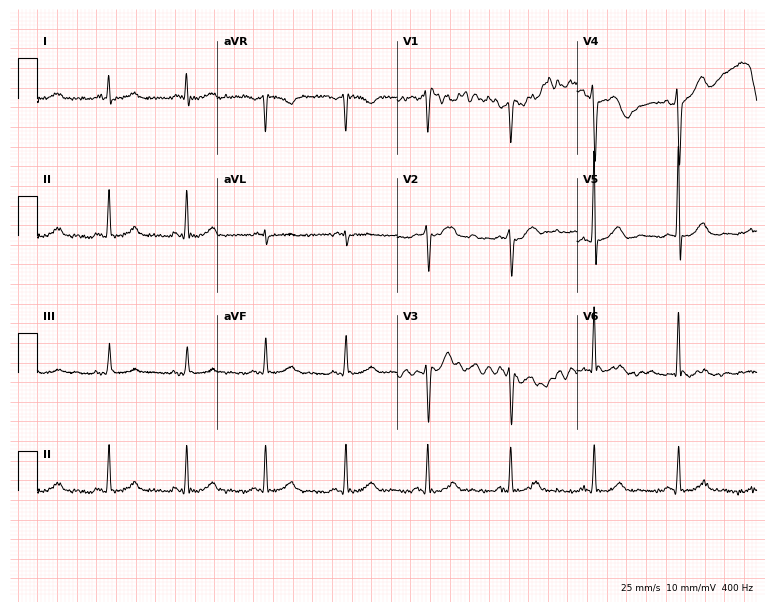
12-lead ECG from a 43-year-old man (7.3-second recording at 400 Hz). No first-degree AV block, right bundle branch block, left bundle branch block, sinus bradycardia, atrial fibrillation or sinus tachycardia recorded for this tracing. Other findings, if any, are not listed.